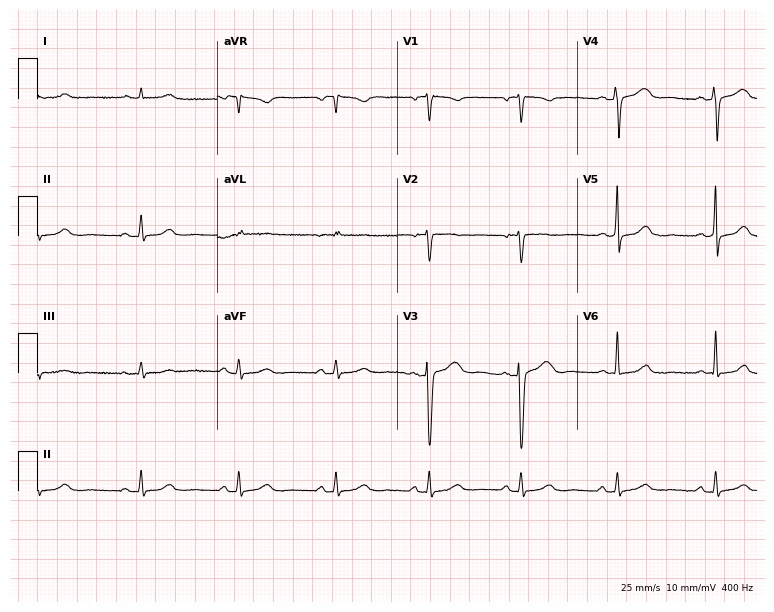
Resting 12-lead electrocardiogram. Patient: a woman, 51 years old. Read as a normal ECG.